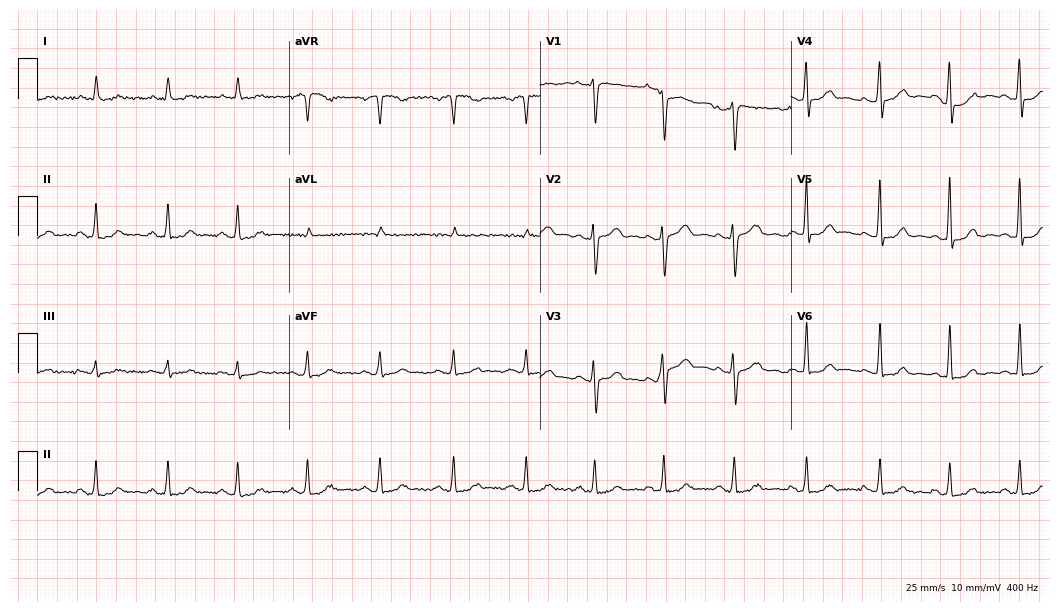
Electrocardiogram (10.2-second recording at 400 Hz), a female patient, 29 years old. Of the six screened findings (first-degree AV block, right bundle branch block, left bundle branch block, sinus bradycardia, atrial fibrillation, sinus tachycardia), none is recorded. Findings outside these six are not listed.